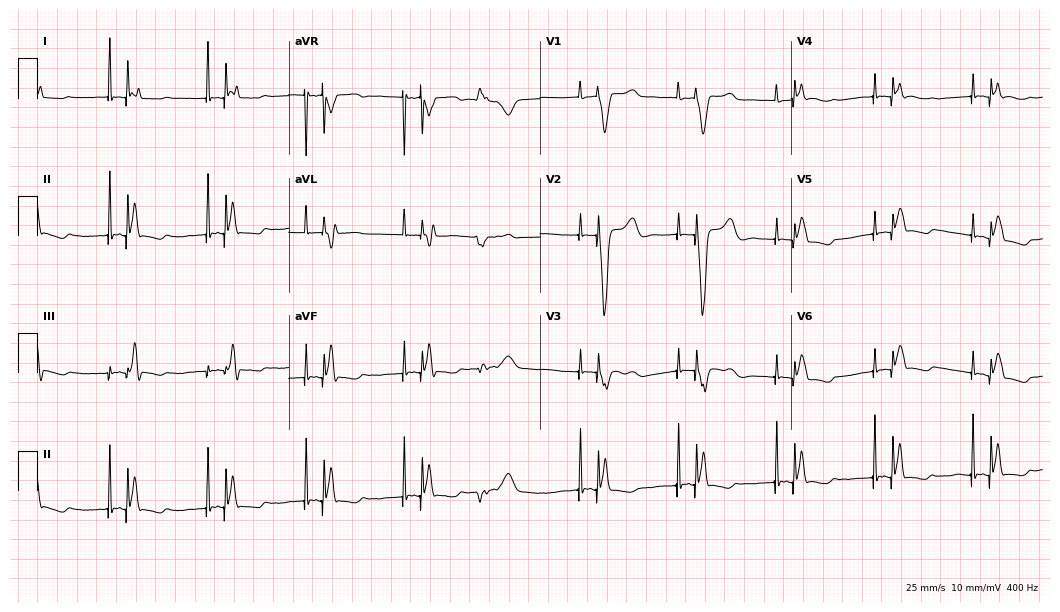
Resting 12-lead electrocardiogram (10.2-second recording at 400 Hz). Patient: a female, 79 years old. None of these six findings is recorded: first-degree AV block, right bundle branch block, left bundle branch block, sinus bradycardia, atrial fibrillation, sinus tachycardia.